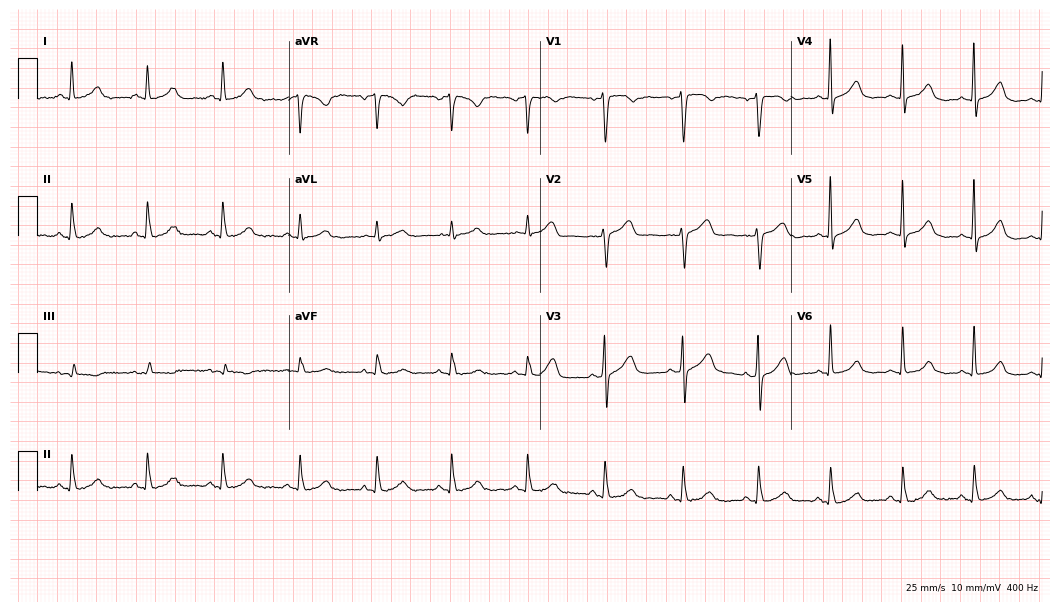
Resting 12-lead electrocardiogram. Patient: a female, 47 years old. Read as a normal ECG.